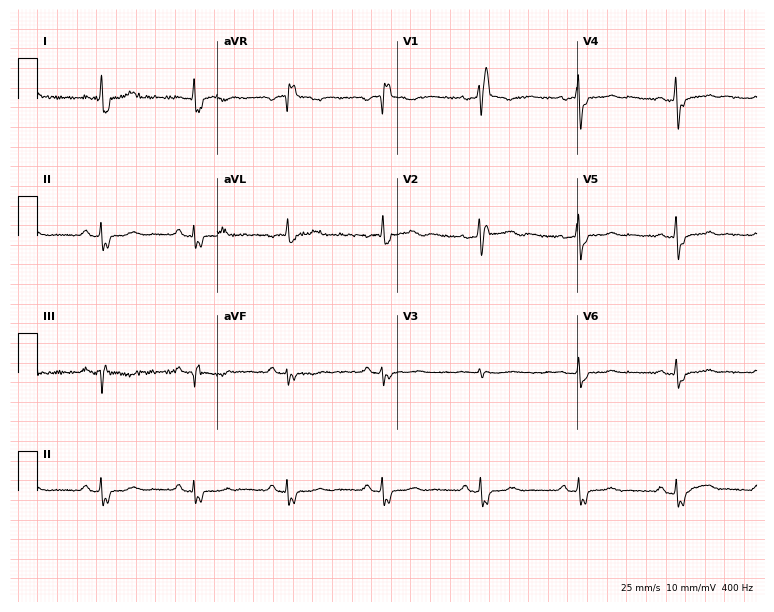
Electrocardiogram, a woman, 48 years old. Of the six screened findings (first-degree AV block, right bundle branch block, left bundle branch block, sinus bradycardia, atrial fibrillation, sinus tachycardia), none is recorded. Findings outside these six are not listed.